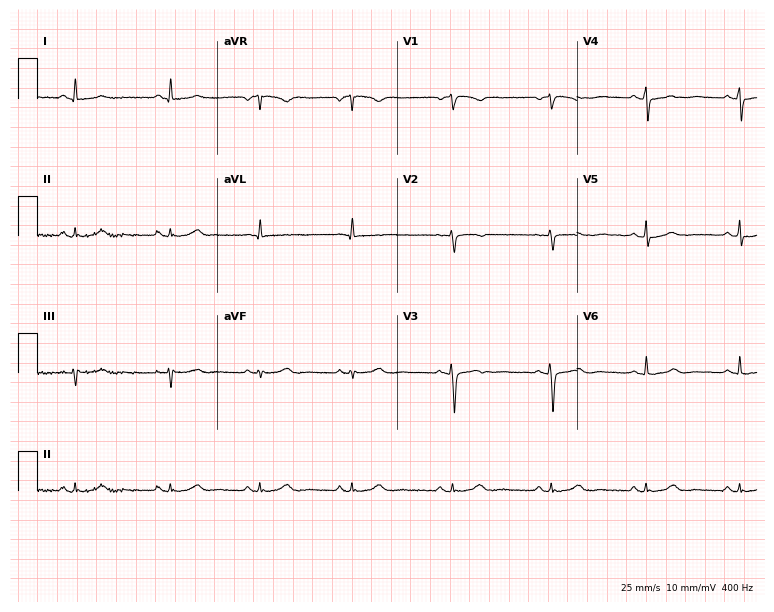
ECG — a 44-year-old female. Screened for six findings — first-degree AV block, right bundle branch block, left bundle branch block, sinus bradycardia, atrial fibrillation, sinus tachycardia — none is recorded. Findings outside these six are not listed.